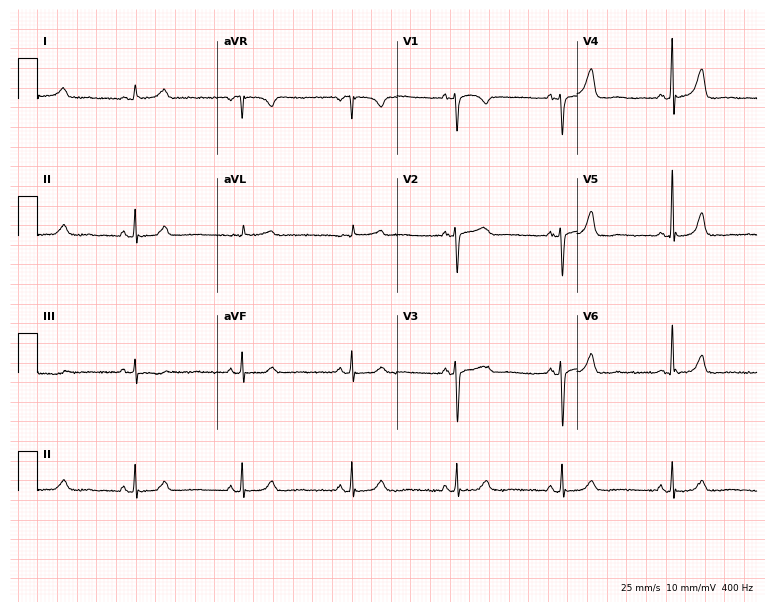
Resting 12-lead electrocardiogram (7.3-second recording at 400 Hz). Patient: a 64-year-old woman. None of these six findings is recorded: first-degree AV block, right bundle branch block, left bundle branch block, sinus bradycardia, atrial fibrillation, sinus tachycardia. Findings outside these six are not listed.